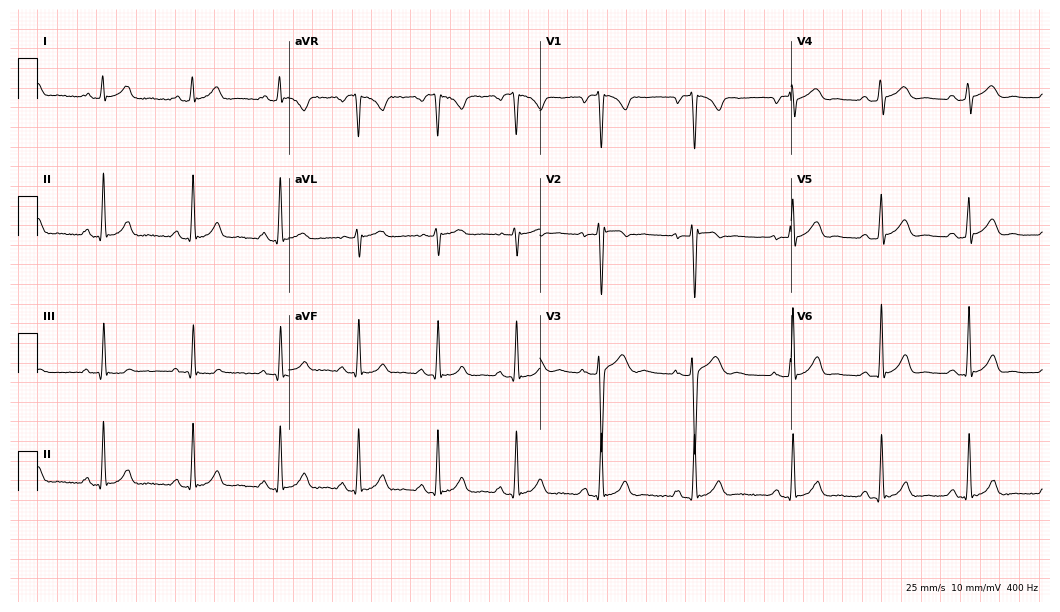
Electrocardiogram, a man, 27 years old. Overall reading on record: normal ECG.